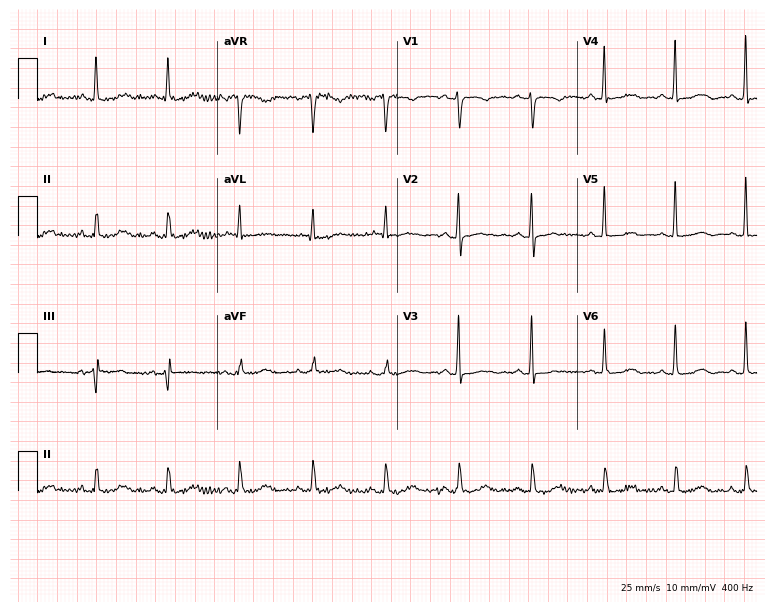
Standard 12-lead ECG recorded from a female, 67 years old. Read as a normal ECG.